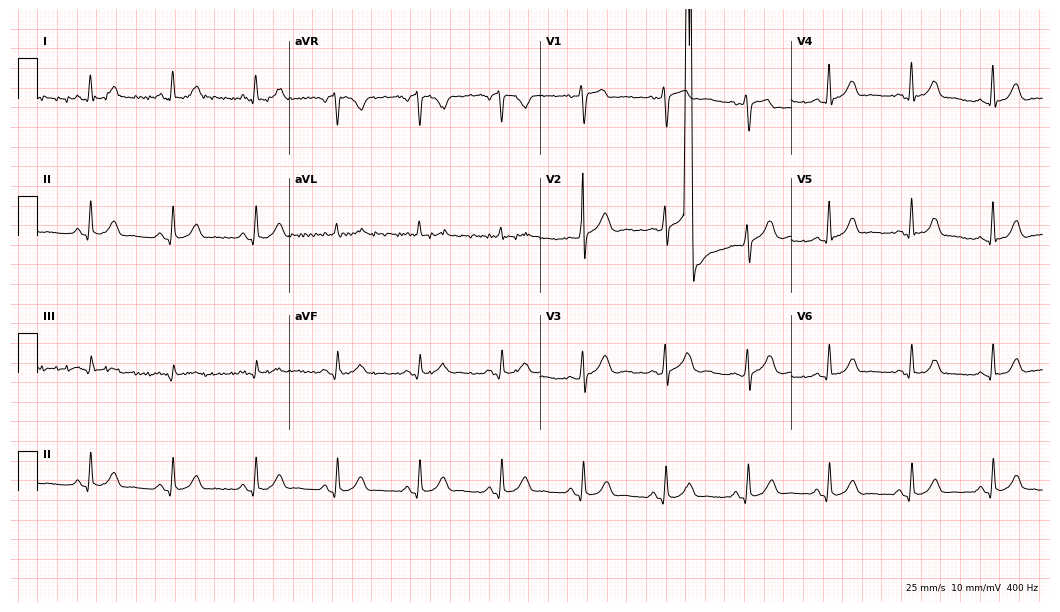
Electrocardiogram (10.2-second recording at 400 Hz), a woman, 56 years old. Of the six screened findings (first-degree AV block, right bundle branch block, left bundle branch block, sinus bradycardia, atrial fibrillation, sinus tachycardia), none is recorded. Findings outside these six are not listed.